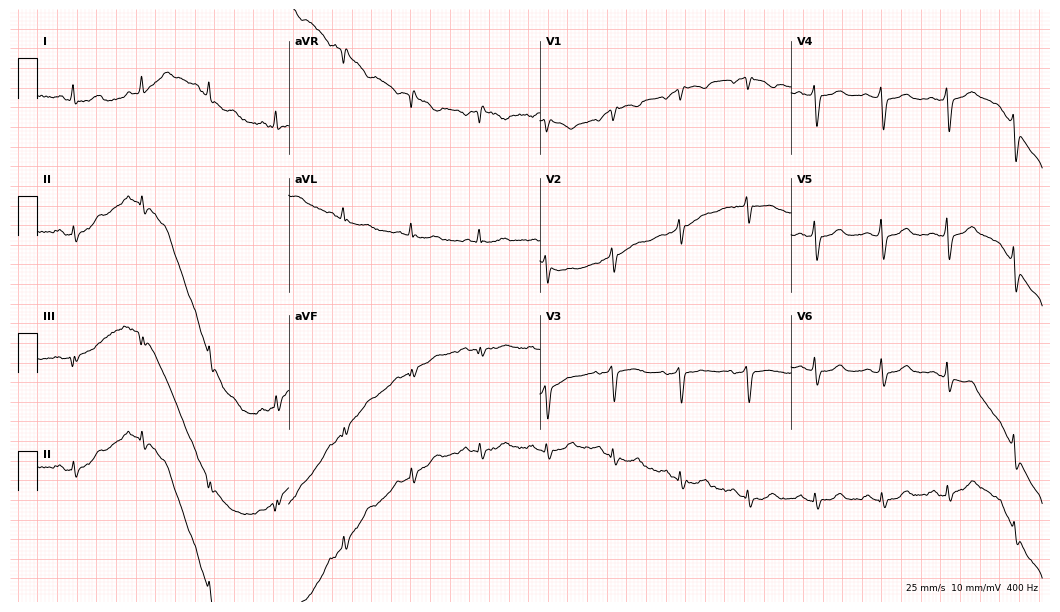
Resting 12-lead electrocardiogram. Patient: a 63-year-old female. None of these six findings is recorded: first-degree AV block, right bundle branch block, left bundle branch block, sinus bradycardia, atrial fibrillation, sinus tachycardia. Other findings, if any, are not listed.